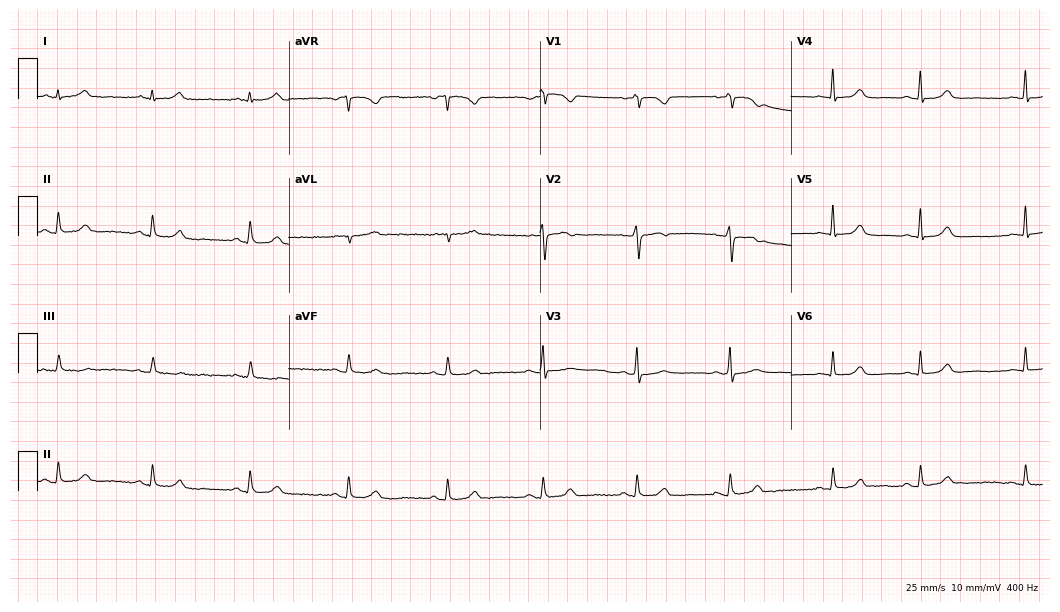
ECG — a 64-year-old woman. Labelled as a normal ECG.